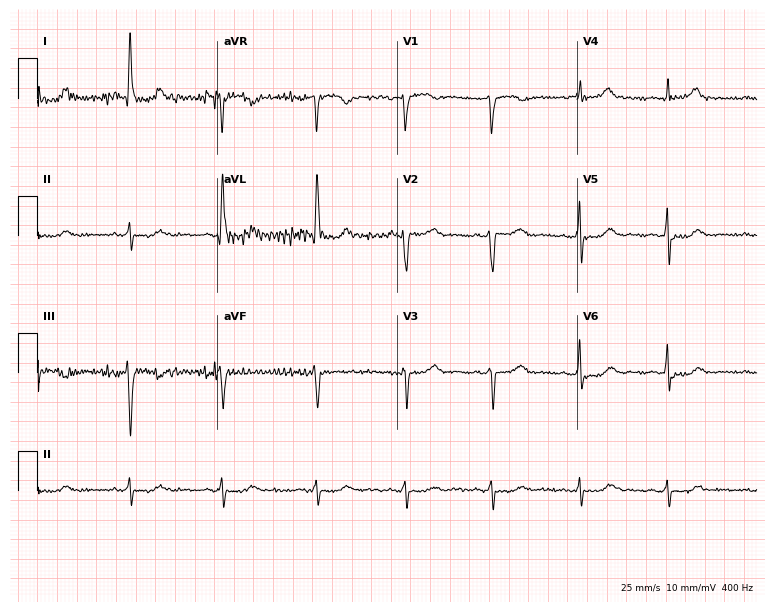
Standard 12-lead ECG recorded from a female, 70 years old (7.3-second recording at 400 Hz). None of these six findings is recorded: first-degree AV block, right bundle branch block (RBBB), left bundle branch block (LBBB), sinus bradycardia, atrial fibrillation (AF), sinus tachycardia. Findings outside these six are not listed.